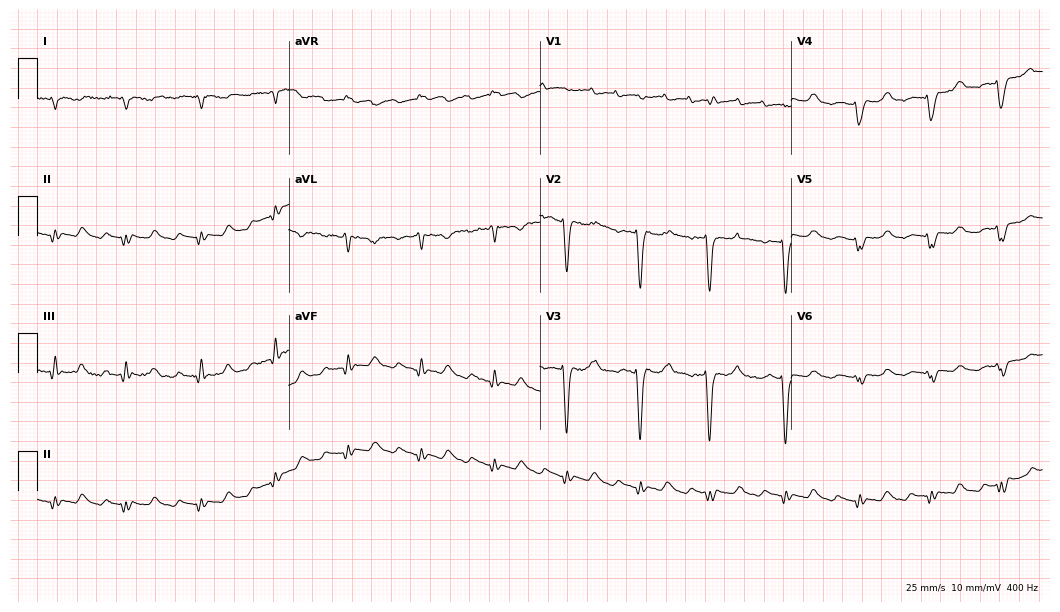
ECG (10.2-second recording at 400 Hz) — a 54-year-old man. Screened for six findings — first-degree AV block, right bundle branch block (RBBB), left bundle branch block (LBBB), sinus bradycardia, atrial fibrillation (AF), sinus tachycardia — none is recorded. Only these six findings were labelled.